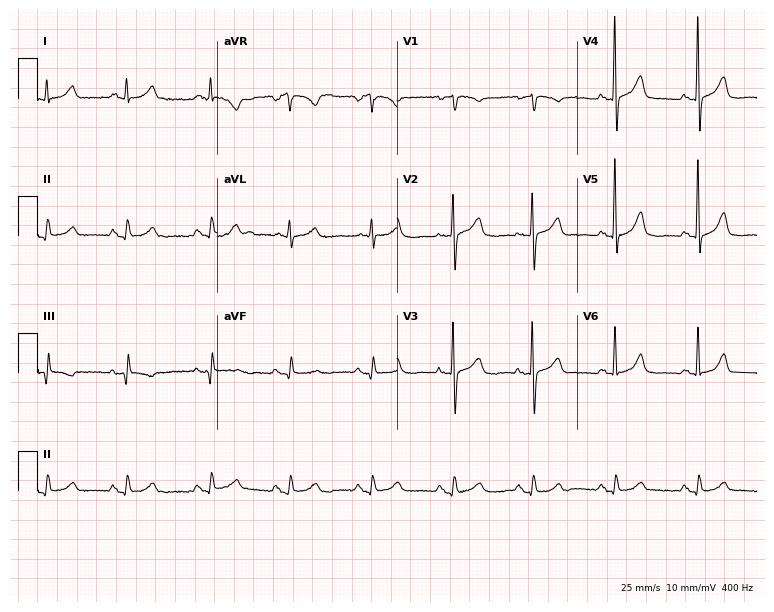
Electrocardiogram, a female, 83 years old. Overall reading on record: normal ECG.